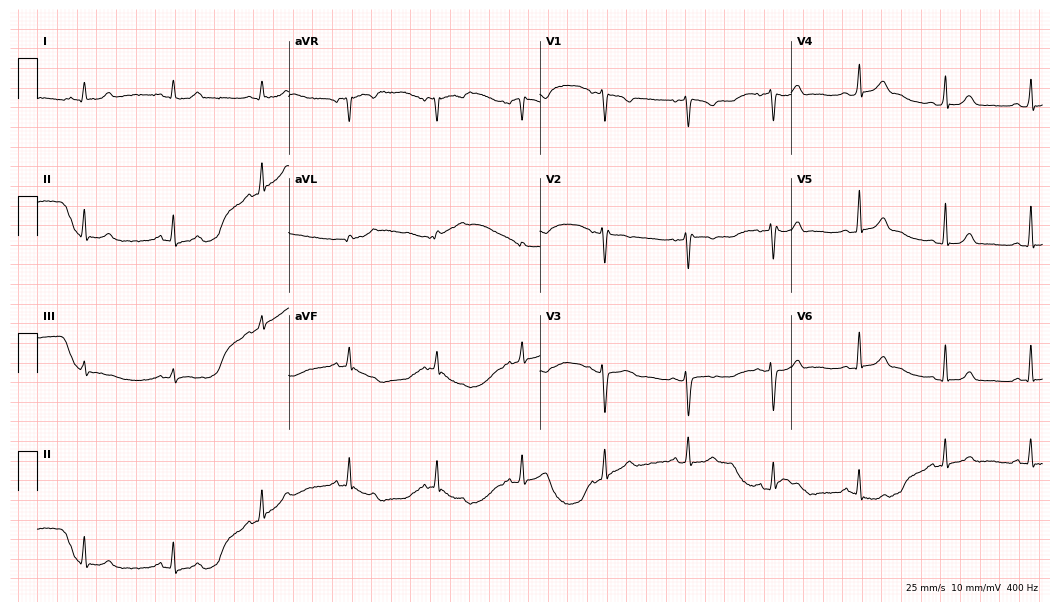
12-lead ECG from a woman, 33 years old. Labelled as a normal ECG.